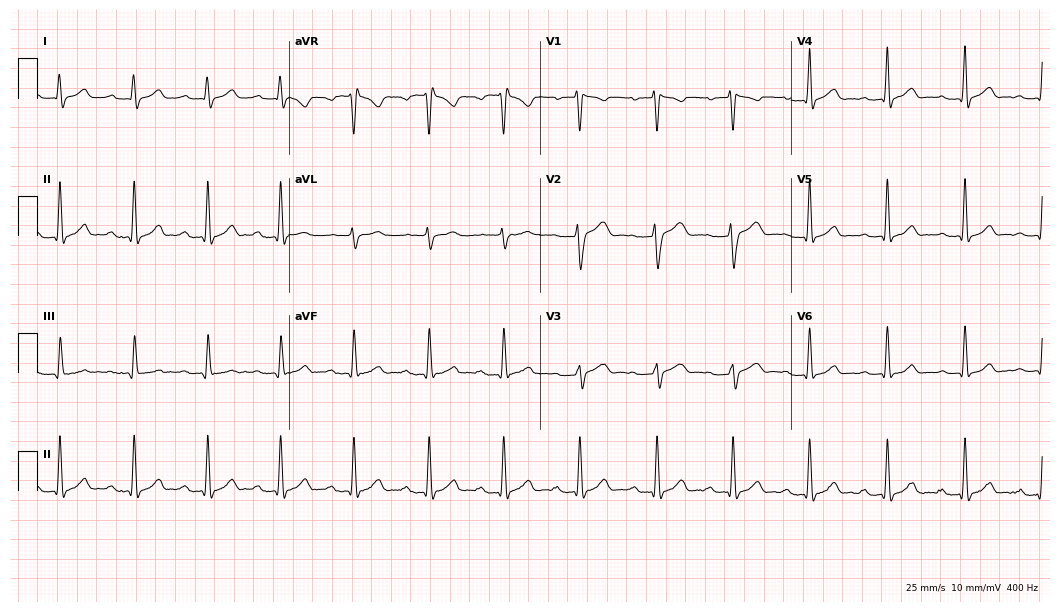
12-lead ECG from a man, 27 years old. Shows first-degree AV block.